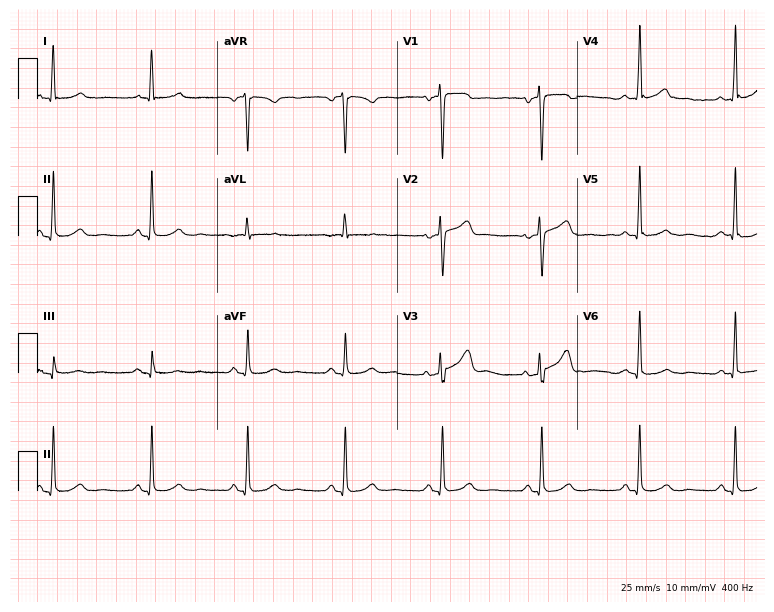
Resting 12-lead electrocardiogram. Patient: a 51-year-old woman. Read as a normal ECG.